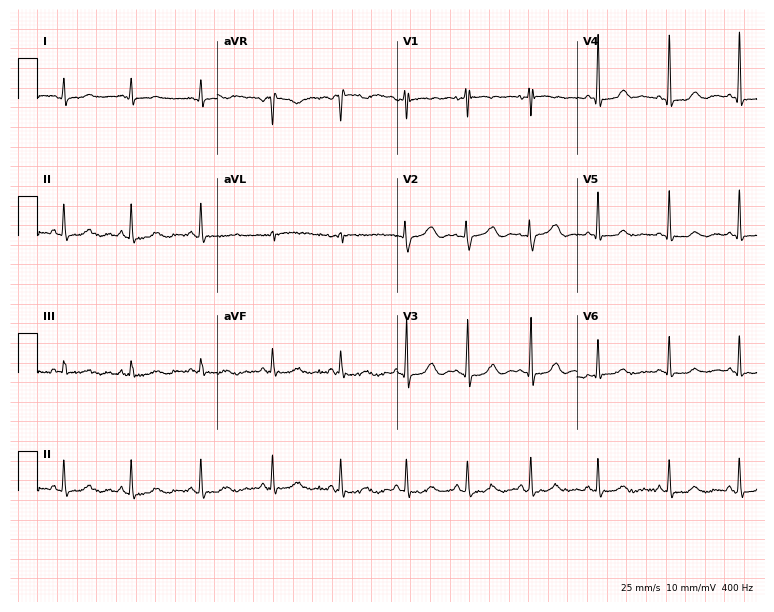
Standard 12-lead ECG recorded from a woman, 34 years old. None of these six findings is recorded: first-degree AV block, right bundle branch block, left bundle branch block, sinus bradycardia, atrial fibrillation, sinus tachycardia. Only these six findings were labelled.